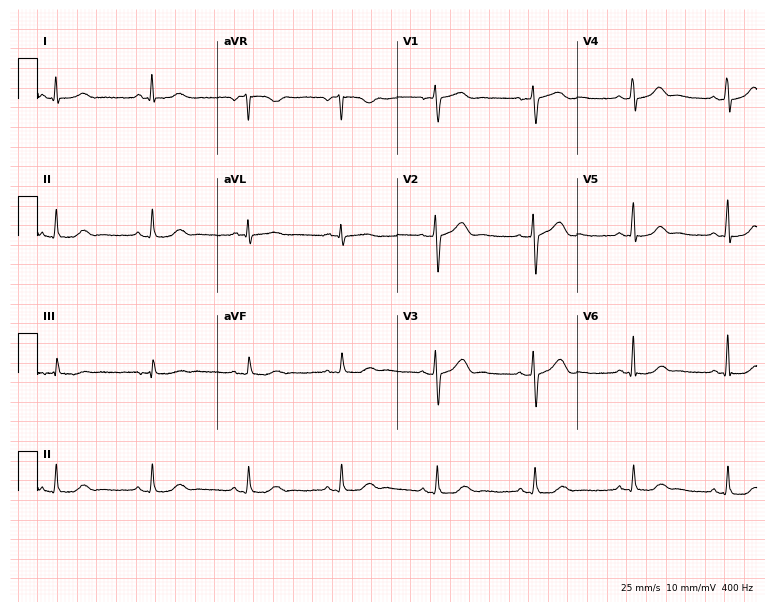
12-lead ECG (7.3-second recording at 400 Hz) from a female, 44 years old. Labelled as a normal ECG.